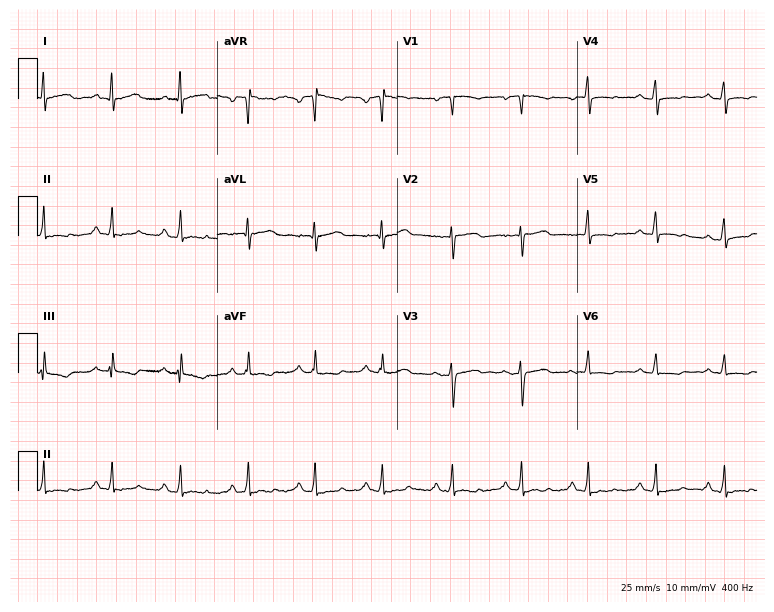
ECG (7.3-second recording at 400 Hz) — a 33-year-old female. Screened for six findings — first-degree AV block, right bundle branch block, left bundle branch block, sinus bradycardia, atrial fibrillation, sinus tachycardia — none is recorded. Findings outside these six are not listed.